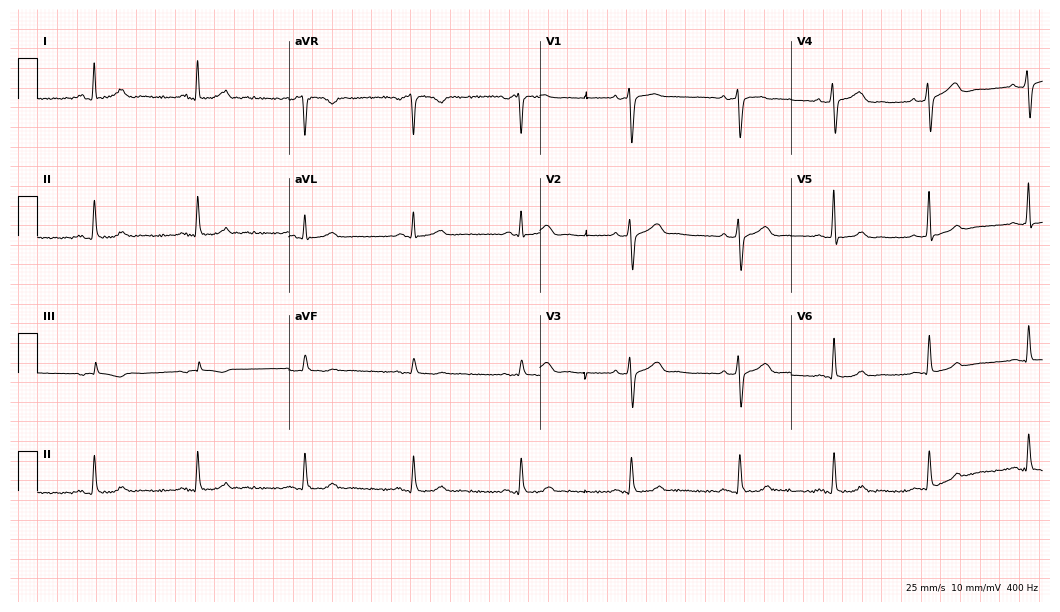
Standard 12-lead ECG recorded from a 39-year-old female. None of these six findings is recorded: first-degree AV block, right bundle branch block (RBBB), left bundle branch block (LBBB), sinus bradycardia, atrial fibrillation (AF), sinus tachycardia.